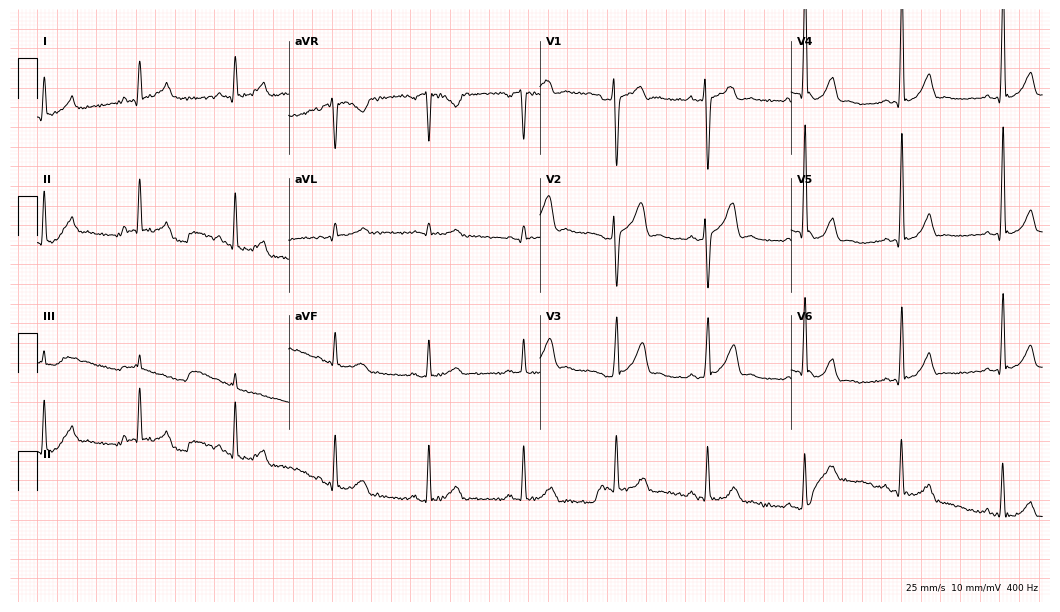
12-lead ECG (10.2-second recording at 400 Hz) from a 27-year-old male patient. Screened for six findings — first-degree AV block, right bundle branch block, left bundle branch block, sinus bradycardia, atrial fibrillation, sinus tachycardia — none is recorded. Other findings, if any, are not listed.